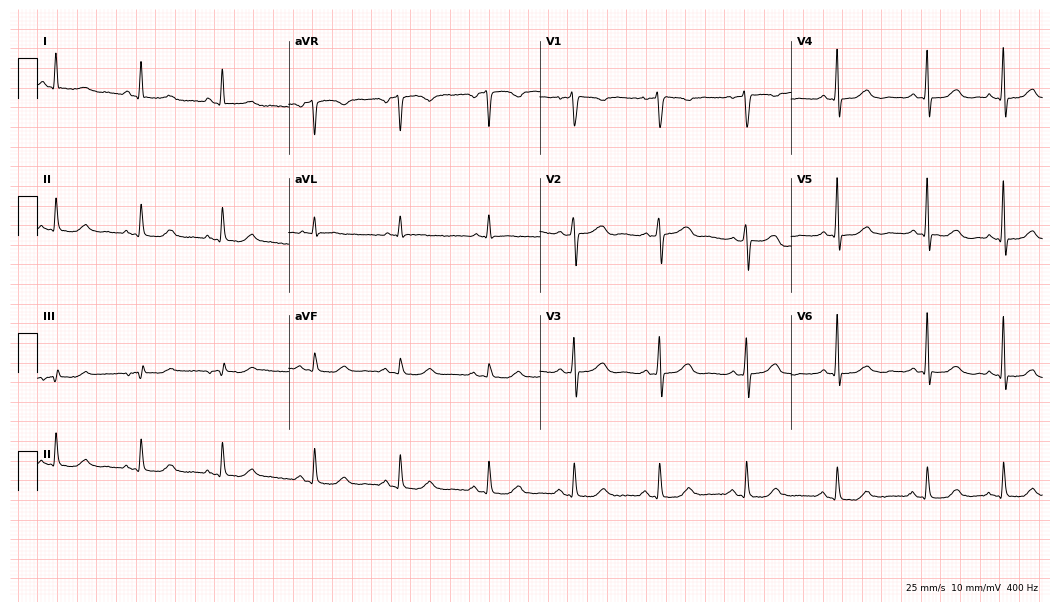
Standard 12-lead ECG recorded from a female patient, 61 years old (10.2-second recording at 400 Hz). Read as a normal ECG.